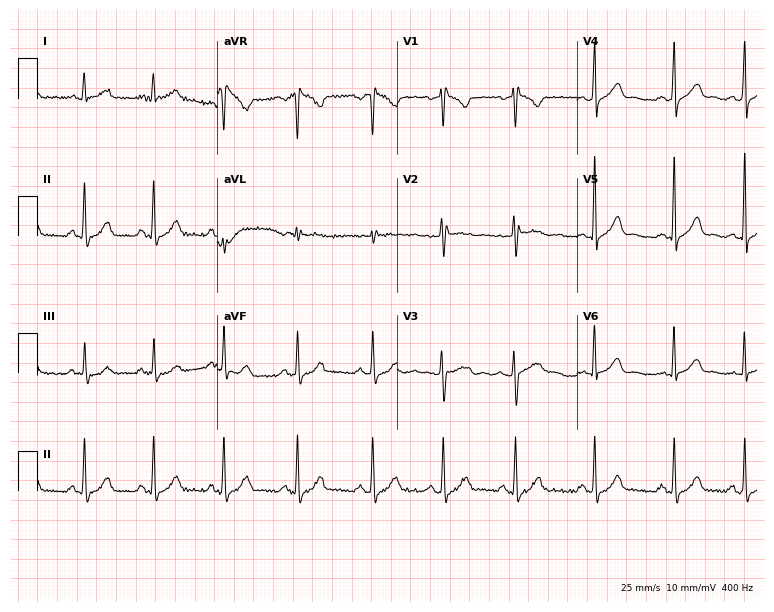
Resting 12-lead electrocardiogram (7.3-second recording at 400 Hz). Patient: a woman, 35 years old. None of these six findings is recorded: first-degree AV block, right bundle branch block, left bundle branch block, sinus bradycardia, atrial fibrillation, sinus tachycardia.